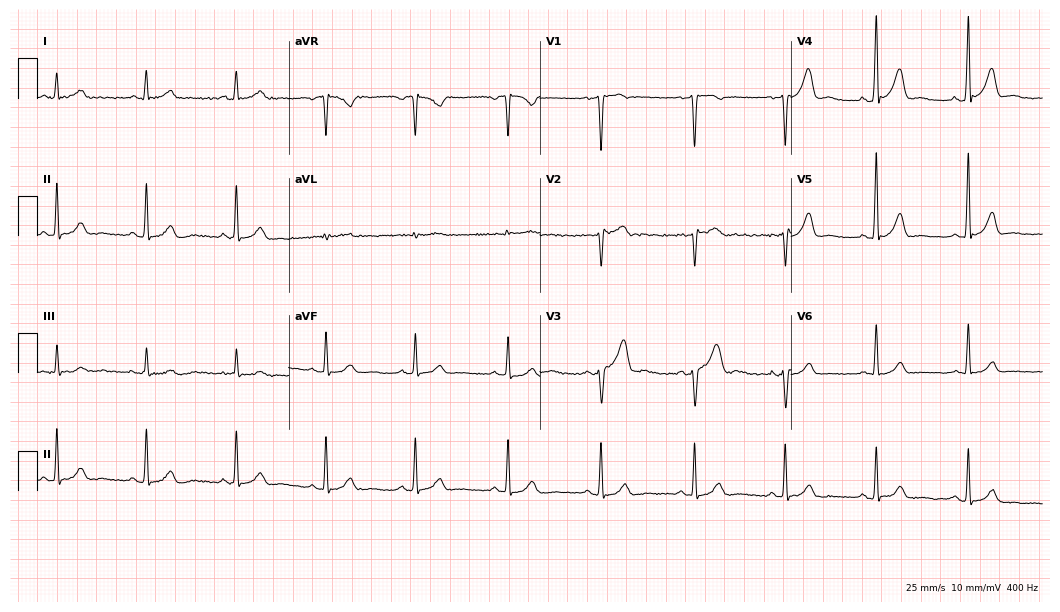
ECG (10.2-second recording at 400 Hz) — a 39-year-old male patient. Screened for six findings — first-degree AV block, right bundle branch block, left bundle branch block, sinus bradycardia, atrial fibrillation, sinus tachycardia — none is recorded. Only these six findings were labelled.